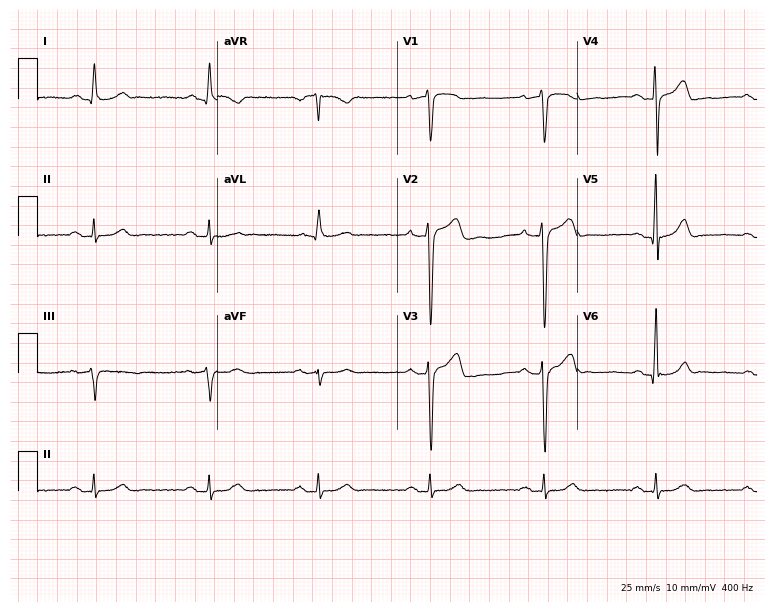
12-lead ECG (7.3-second recording at 400 Hz) from a 61-year-old male. Findings include first-degree AV block.